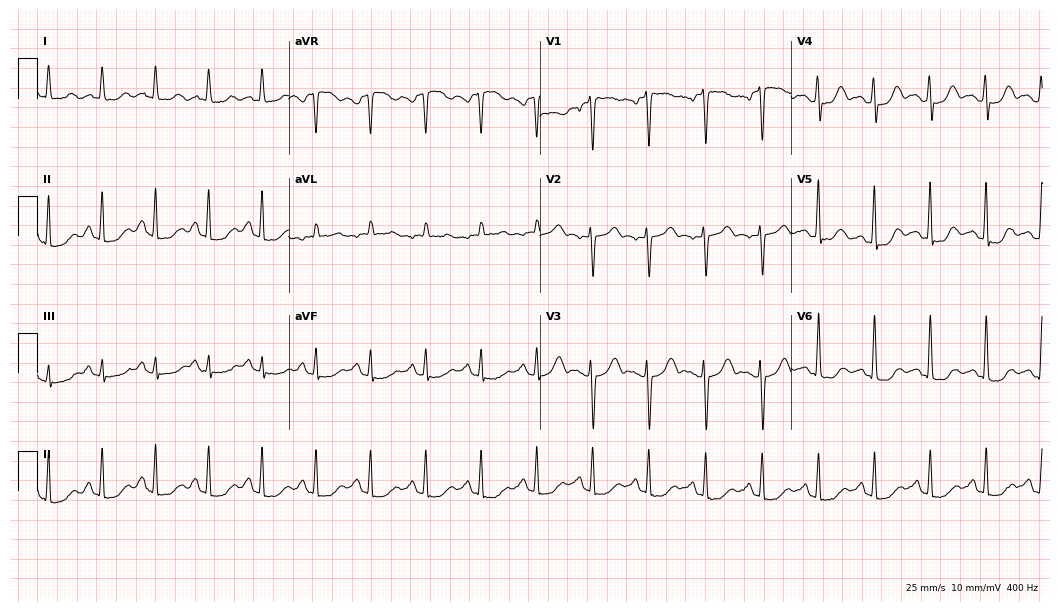
Standard 12-lead ECG recorded from a 50-year-old female patient (10.2-second recording at 400 Hz). The tracing shows sinus tachycardia (a sinus rate of 100 beats per minute or more).